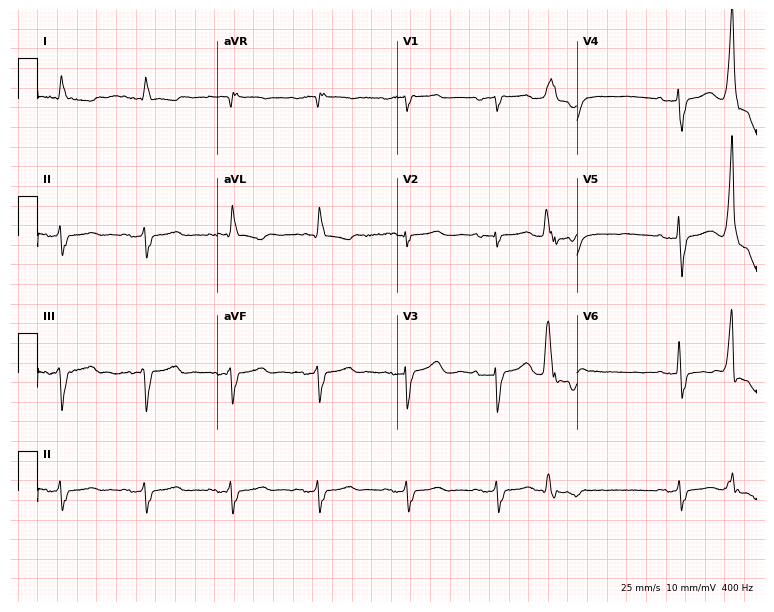
Standard 12-lead ECG recorded from a male, 71 years old. None of these six findings is recorded: first-degree AV block, right bundle branch block, left bundle branch block, sinus bradycardia, atrial fibrillation, sinus tachycardia. Findings outside these six are not listed.